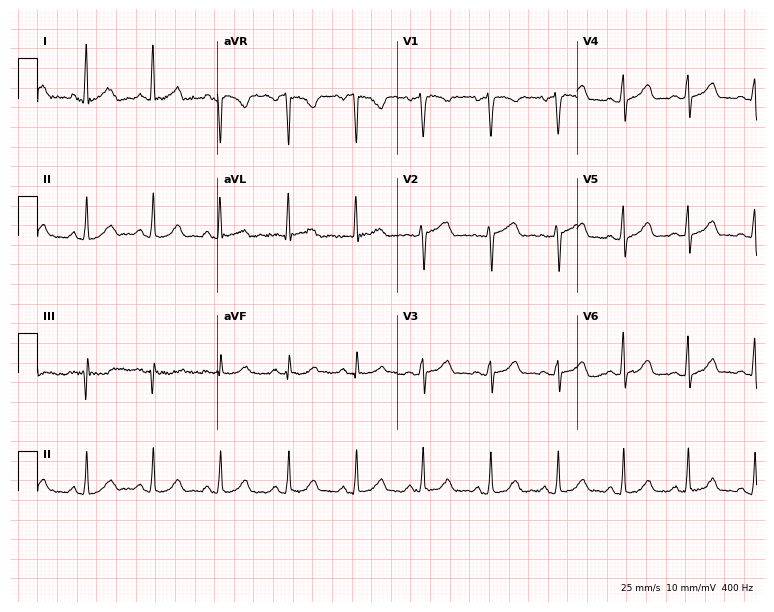
ECG (7.3-second recording at 400 Hz) — a 41-year-old female. Labelled as a normal ECG.